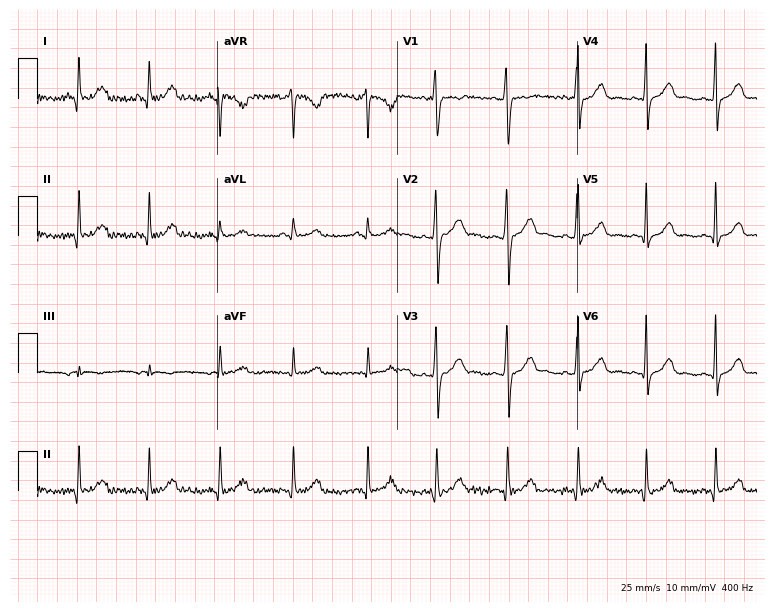
12-lead ECG (7.3-second recording at 400 Hz) from a woman, 19 years old. Screened for six findings — first-degree AV block, right bundle branch block, left bundle branch block, sinus bradycardia, atrial fibrillation, sinus tachycardia — none is recorded.